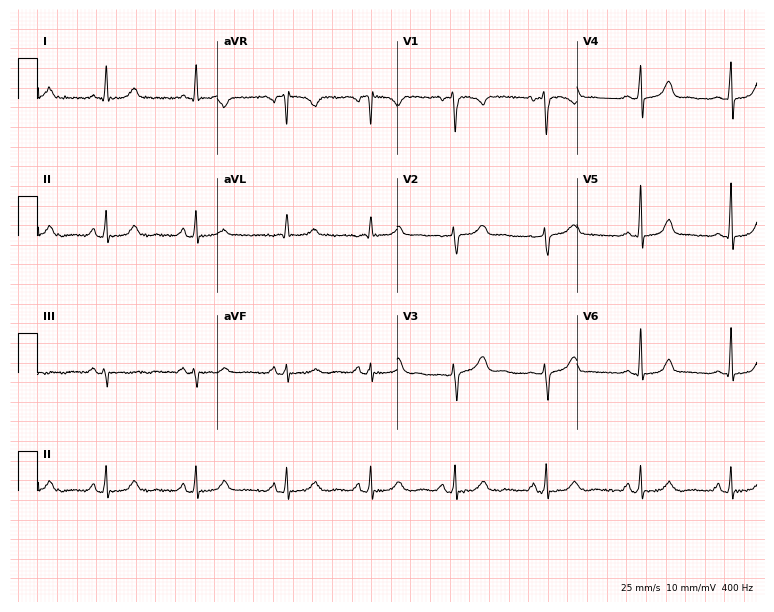
Electrocardiogram (7.3-second recording at 400 Hz), a female, 38 years old. Overall reading on record: normal ECG.